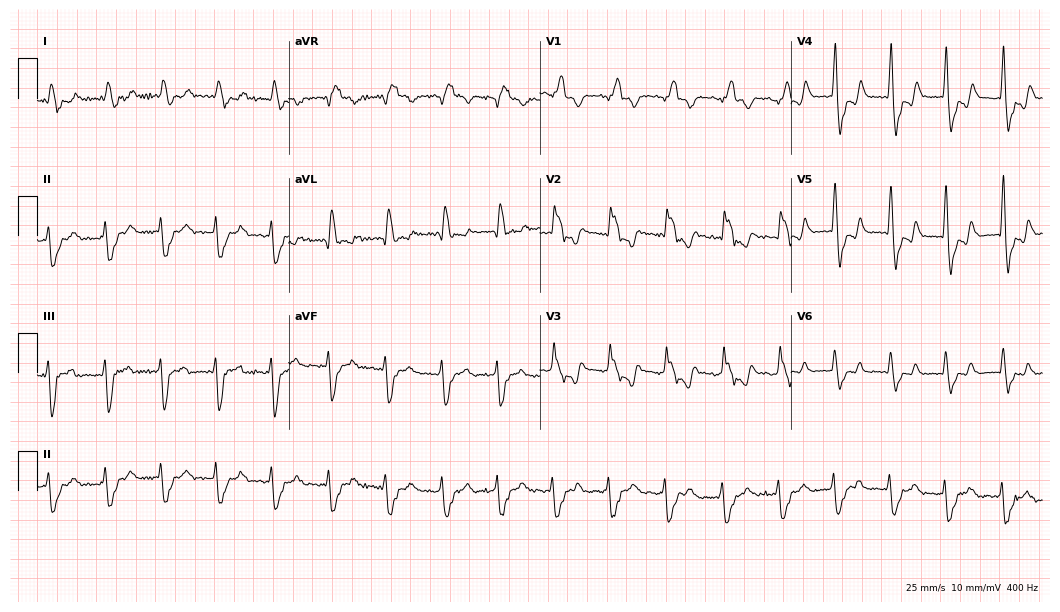
Resting 12-lead electrocardiogram (10.2-second recording at 400 Hz). Patient: an 84-year-old female. None of these six findings is recorded: first-degree AV block, right bundle branch block, left bundle branch block, sinus bradycardia, atrial fibrillation, sinus tachycardia.